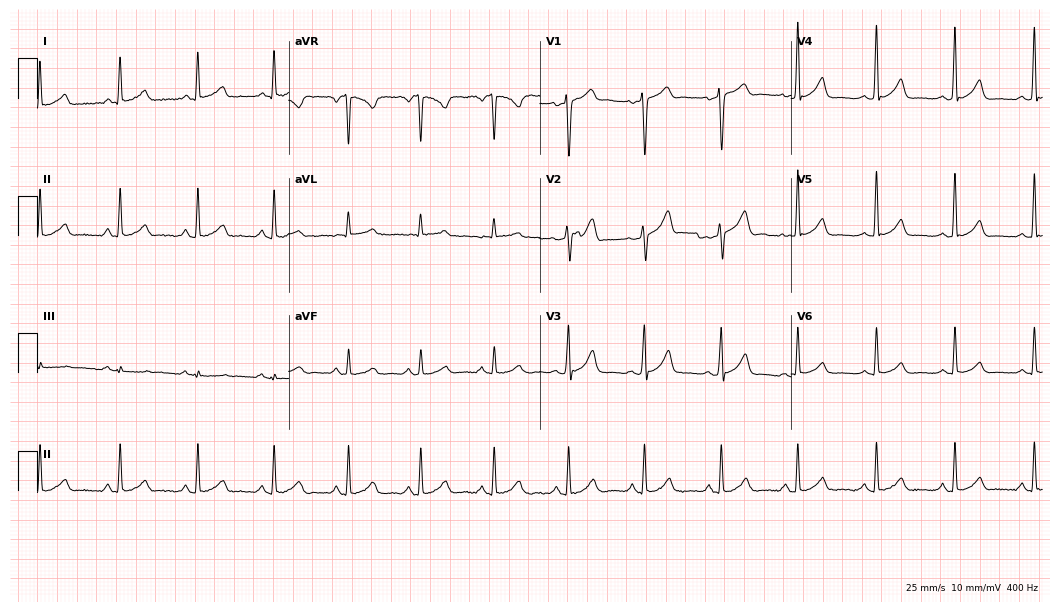
12-lead ECG (10.2-second recording at 400 Hz) from a 47-year-old woman. Labelled as a normal ECG.